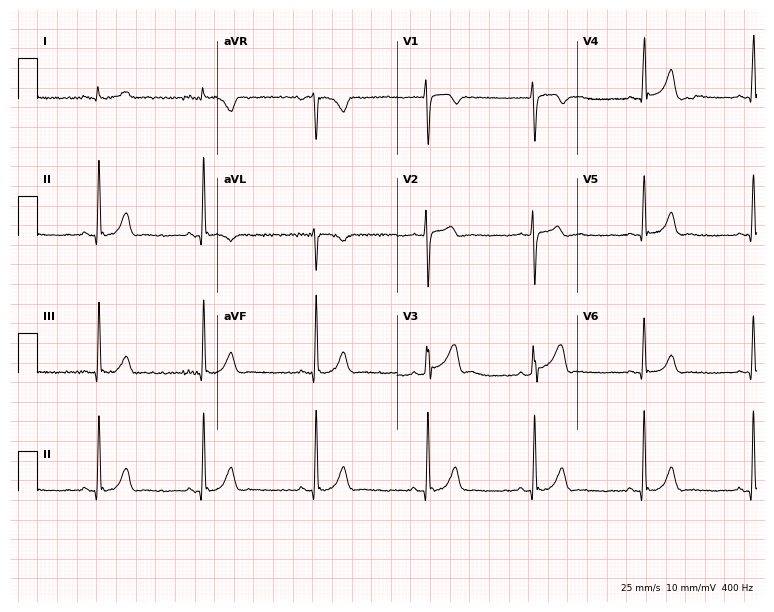
Resting 12-lead electrocardiogram. Patient: a 43-year-old male. None of these six findings is recorded: first-degree AV block, right bundle branch block, left bundle branch block, sinus bradycardia, atrial fibrillation, sinus tachycardia.